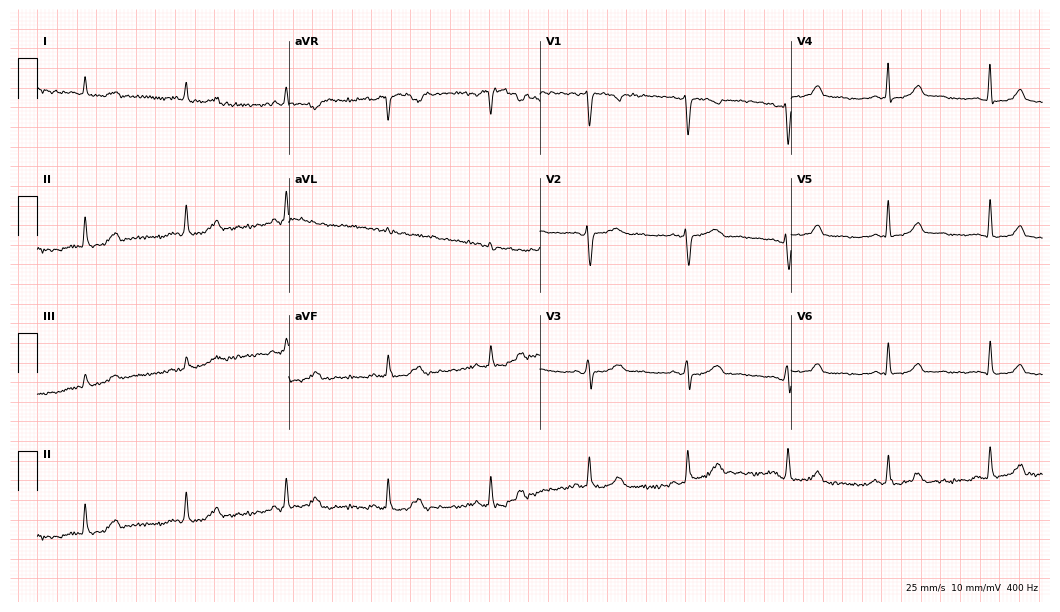
12-lead ECG from a 38-year-old female patient (10.2-second recording at 400 Hz). Recorded interpretation: within normal limits.